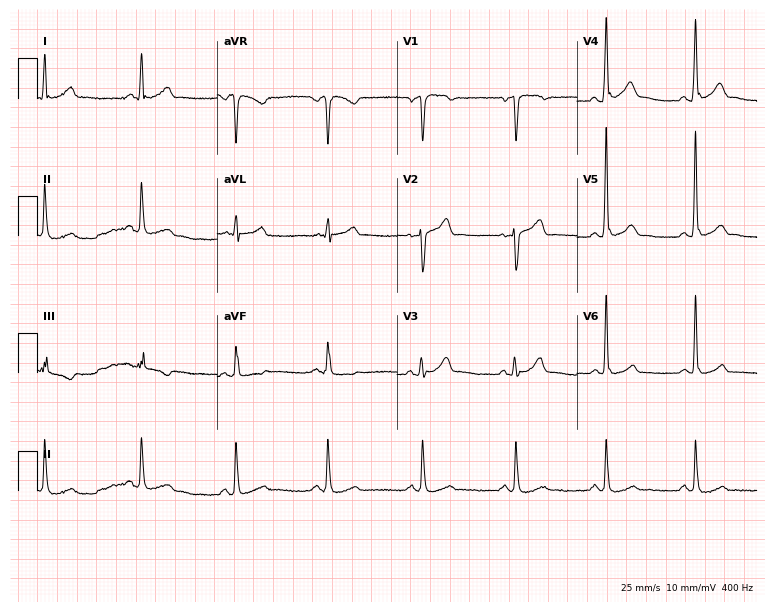
Standard 12-lead ECG recorded from a male patient, 59 years old. Read as a normal ECG.